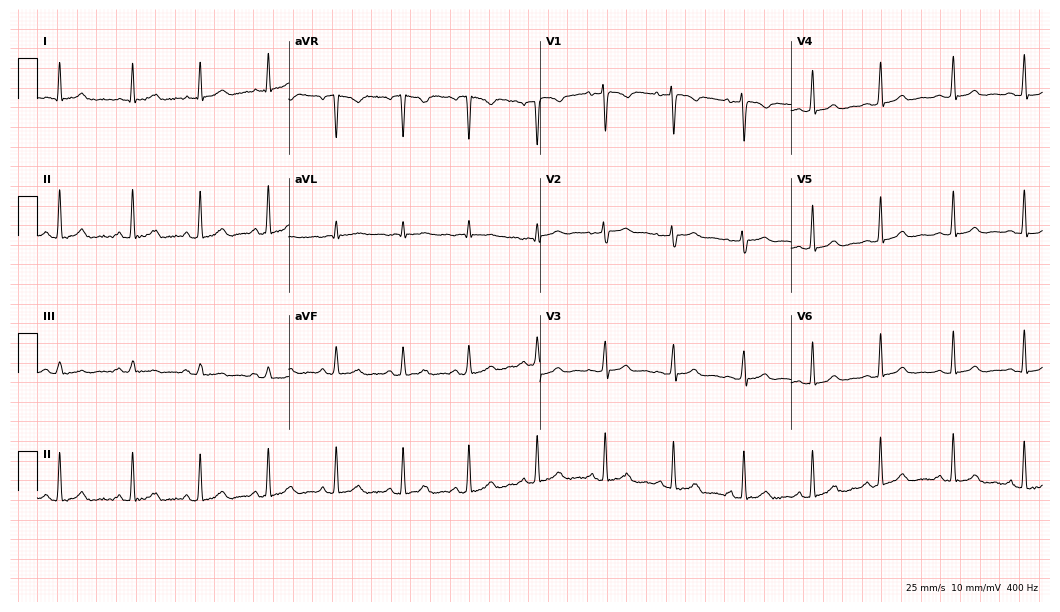
Standard 12-lead ECG recorded from a 24-year-old female (10.2-second recording at 400 Hz). Read as a normal ECG.